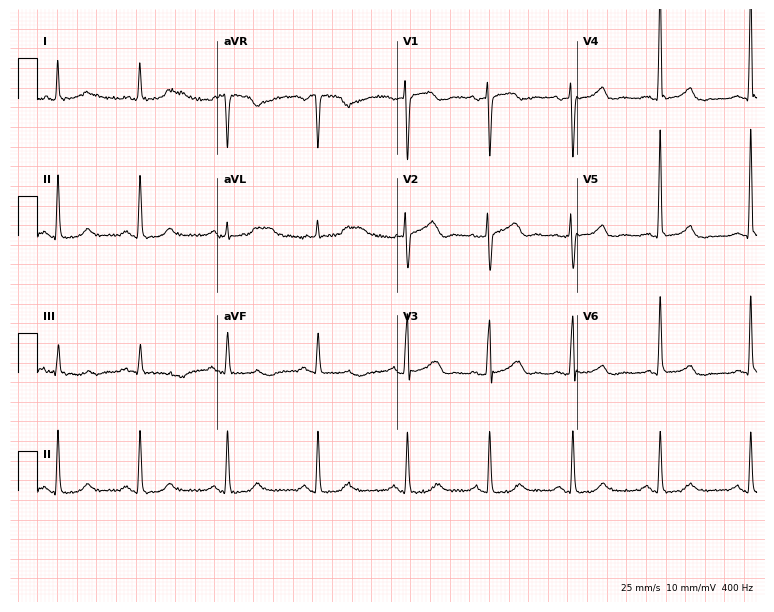
ECG (7.3-second recording at 400 Hz) — a 55-year-old female patient. Labelled as a normal ECG.